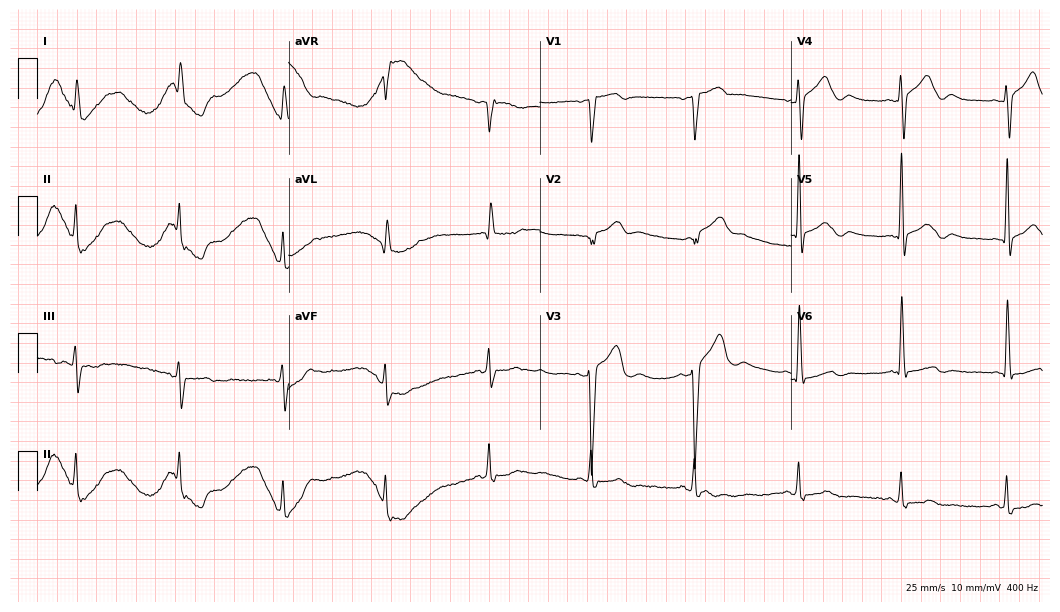
Resting 12-lead electrocardiogram (10.2-second recording at 400 Hz). Patient: a man, 82 years old. None of these six findings is recorded: first-degree AV block, right bundle branch block, left bundle branch block, sinus bradycardia, atrial fibrillation, sinus tachycardia.